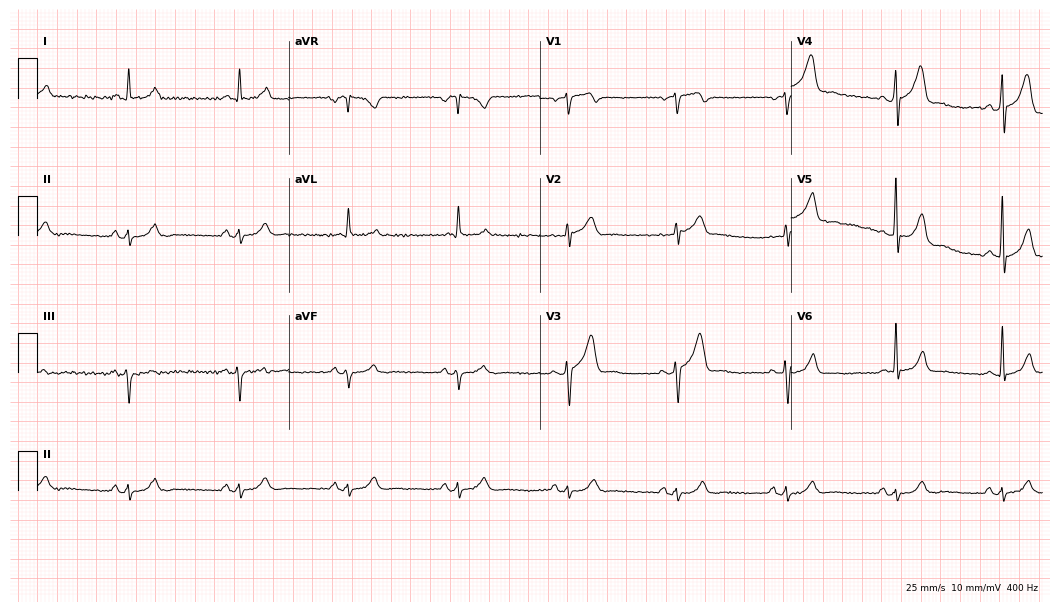
Standard 12-lead ECG recorded from a male patient, 59 years old (10.2-second recording at 400 Hz). Read as a normal ECG.